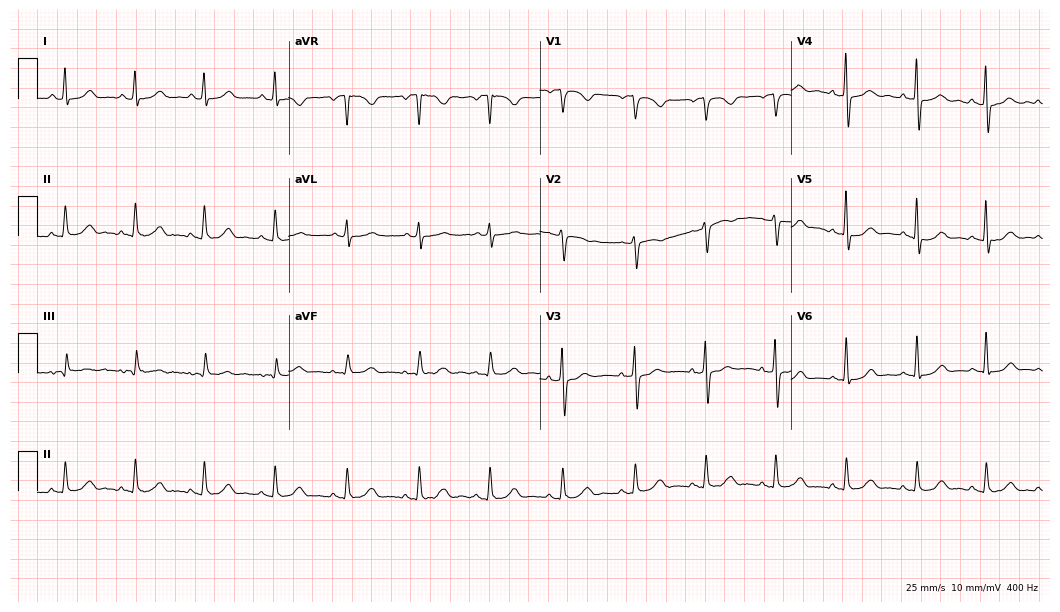
Resting 12-lead electrocardiogram (10.2-second recording at 400 Hz). Patient: a female, 65 years old. Read as a normal ECG.